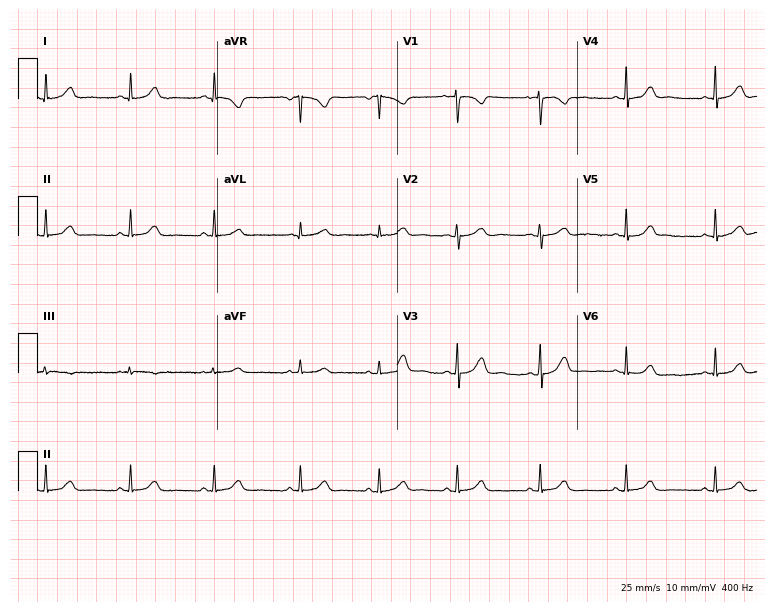
Standard 12-lead ECG recorded from a 19-year-old female patient. Read as a normal ECG.